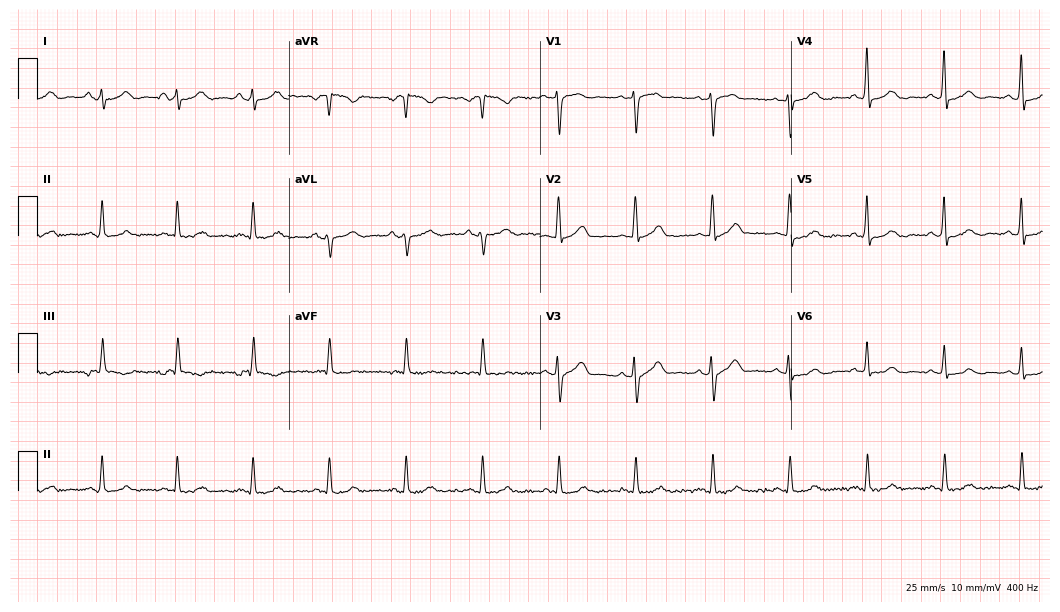
12-lead ECG from a 77-year-old man. Screened for six findings — first-degree AV block, right bundle branch block, left bundle branch block, sinus bradycardia, atrial fibrillation, sinus tachycardia — none is recorded. Other findings, if any, are not listed.